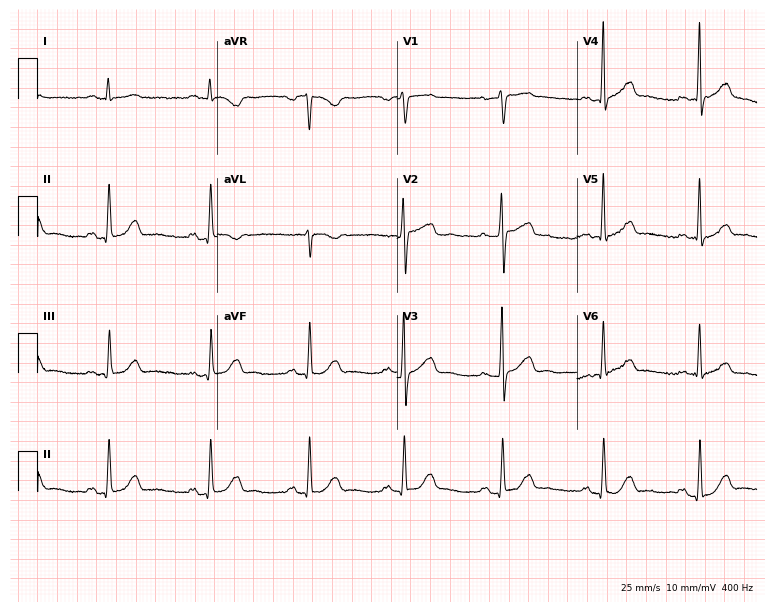
Resting 12-lead electrocardiogram. Patient: a 56-year-old male. Read as a normal ECG.